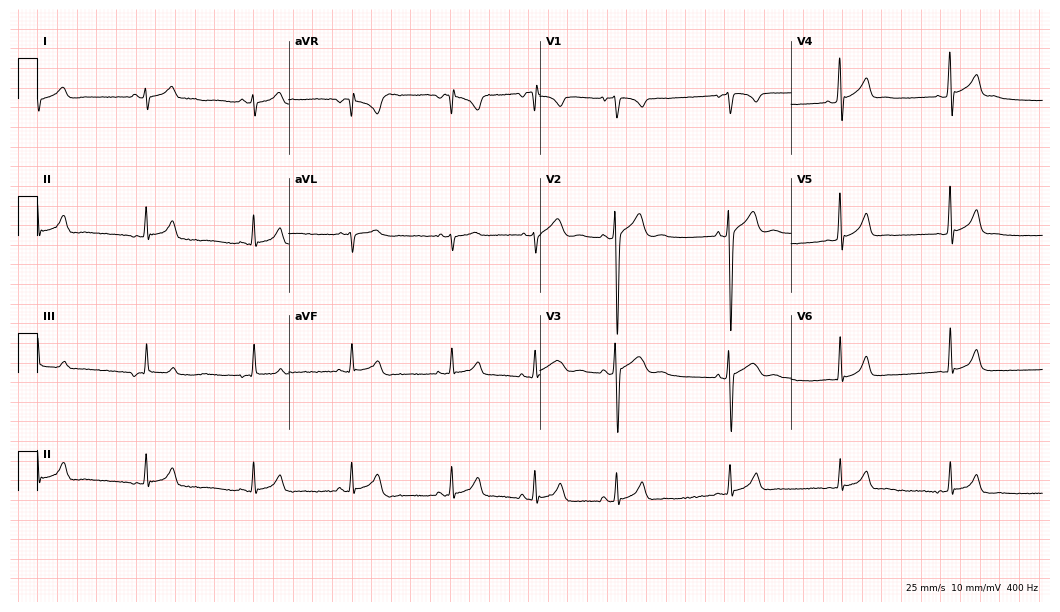
ECG (10.2-second recording at 400 Hz) — a man, 23 years old. Screened for six findings — first-degree AV block, right bundle branch block (RBBB), left bundle branch block (LBBB), sinus bradycardia, atrial fibrillation (AF), sinus tachycardia — none is recorded. Only these six findings were labelled.